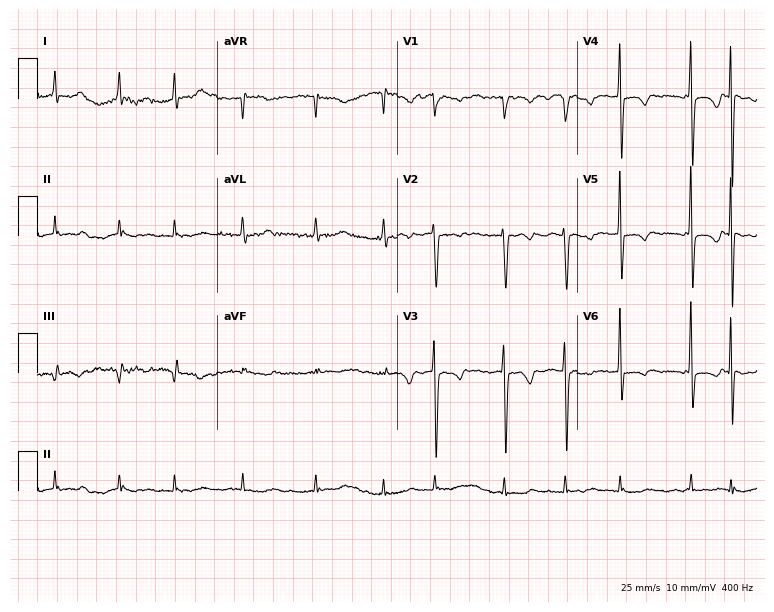
Resting 12-lead electrocardiogram (7.3-second recording at 400 Hz). Patient: a 73-year-old woman. None of these six findings is recorded: first-degree AV block, right bundle branch block, left bundle branch block, sinus bradycardia, atrial fibrillation, sinus tachycardia.